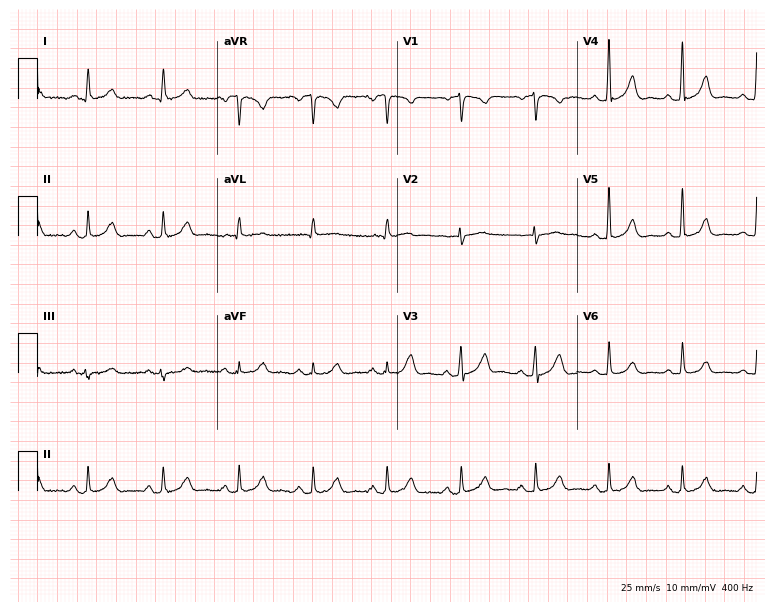
Standard 12-lead ECG recorded from a 60-year-old female. None of these six findings is recorded: first-degree AV block, right bundle branch block, left bundle branch block, sinus bradycardia, atrial fibrillation, sinus tachycardia.